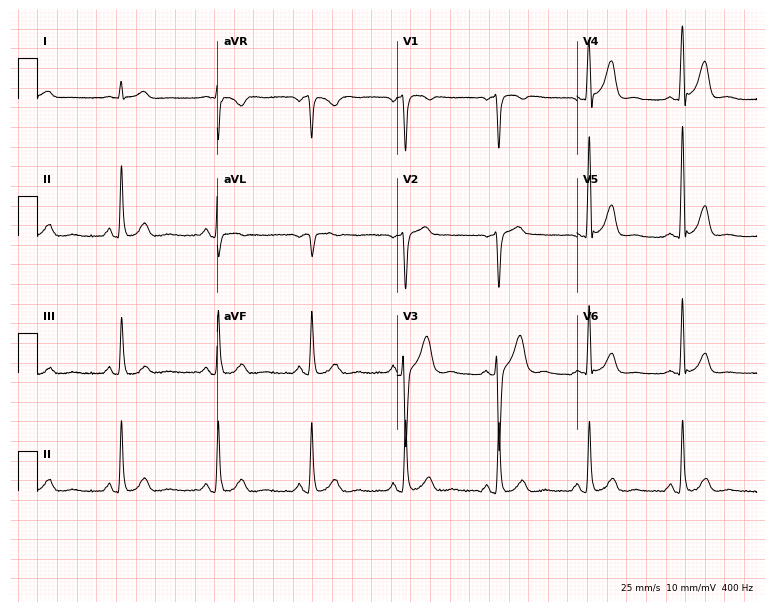
12-lead ECG (7.3-second recording at 400 Hz) from a male, 59 years old. Screened for six findings — first-degree AV block, right bundle branch block (RBBB), left bundle branch block (LBBB), sinus bradycardia, atrial fibrillation (AF), sinus tachycardia — none is recorded.